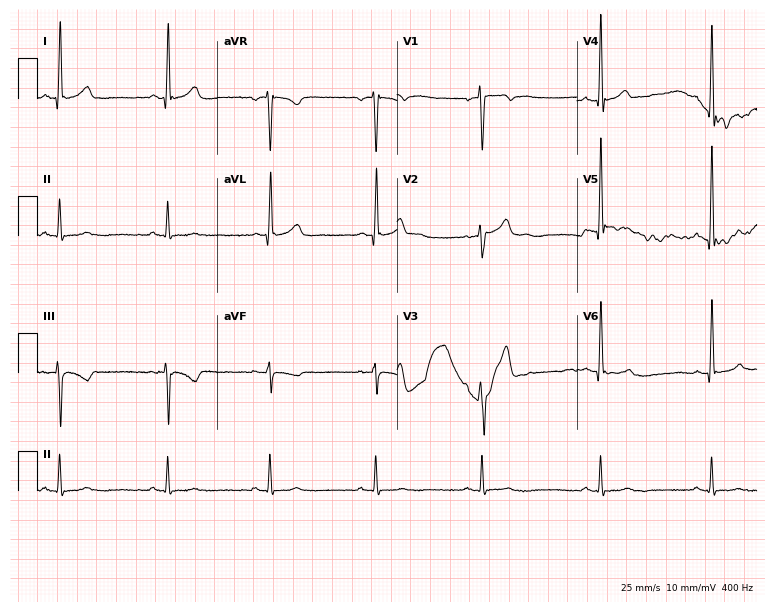
Electrocardiogram (7.3-second recording at 400 Hz), a 50-year-old male patient. Of the six screened findings (first-degree AV block, right bundle branch block (RBBB), left bundle branch block (LBBB), sinus bradycardia, atrial fibrillation (AF), sinus tachycardia), none is recorded. Only these six findings were labelled.